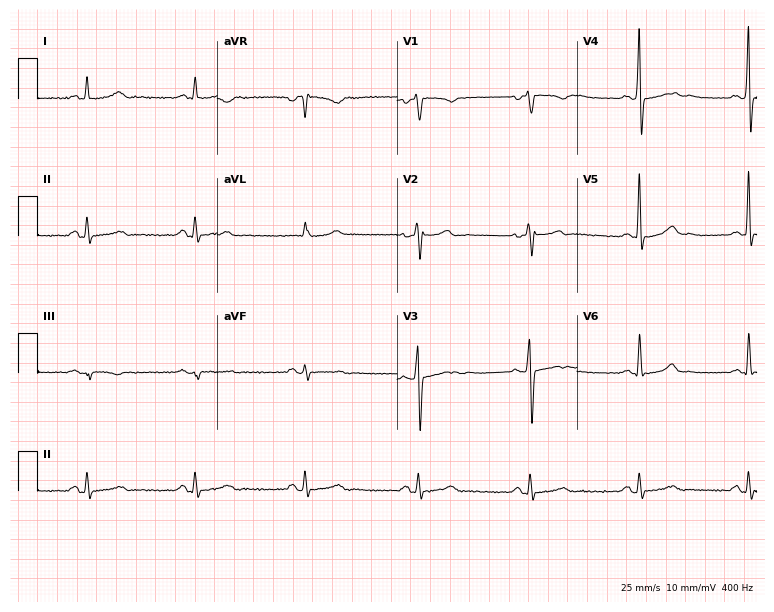
12-lead ECG from a 45-year-old man. Screened for six findings — first-degree AV block, right bundle branch block, left bundle branch block, sinus bradycardia, atrial fibrillation, sinus tachycardia — none is recorded. Only these six findings were labelled.